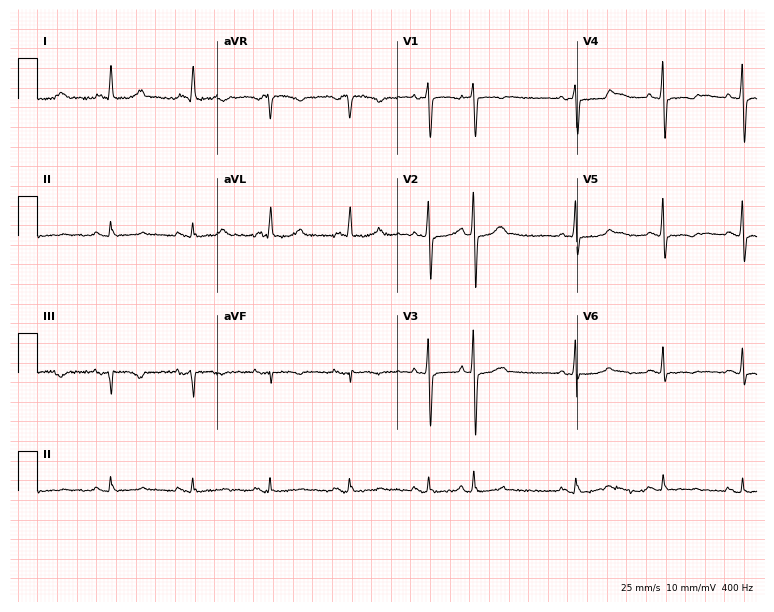
12-lead ECG (7.3-second recording at 400 Hz) from a 72-year-old female patient. Screened for six findings — first-degree AV block, right bundle branch block (RBBB), left bundle branch block (LBBB), sinus bradycardia, atrial fibrillation (AF), sinus tachycardia — none is recorded. Other findings, if any, are not listed.